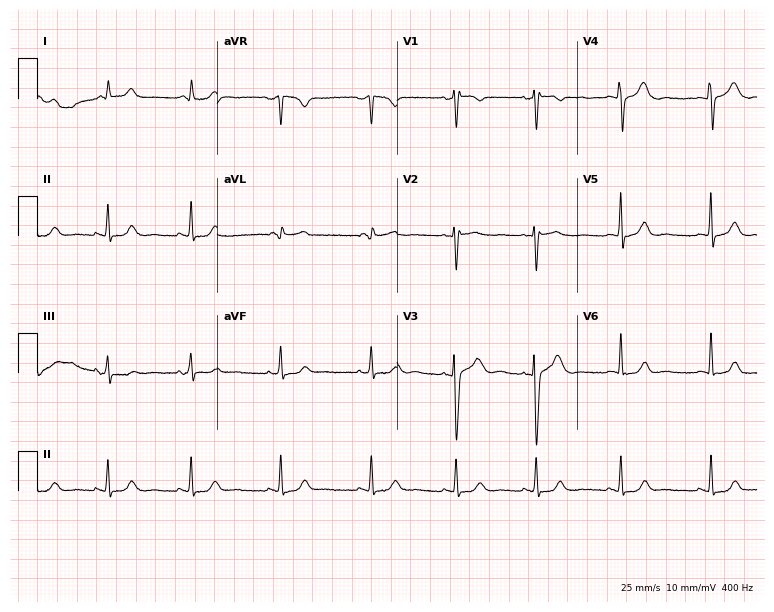
12-lead ECG from a 39-year-old female patient. Screened for six findings — first-degree AV block, right bundle branch block (RBBB), left bundle branch block (LBBB), sinus bradycardia, atrial fibrillation (AF), sinus tachycardia — none is recorded. Findings outside these six are not listed.